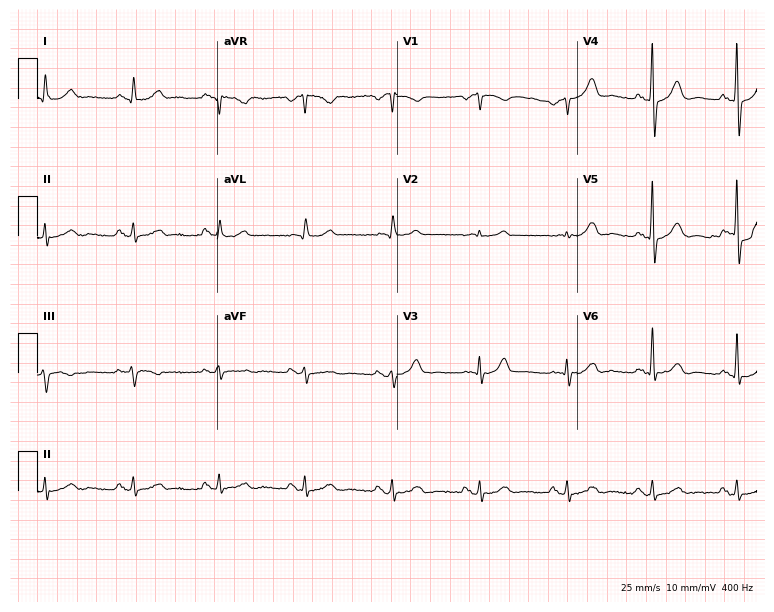
12-lead ECG from a male patient, 59 years old. Screened for six findings — first-degree AV block, right bundle branch block, left bundle branch block, sinus bradycardia, atrial fibrillation, sinus tachycardia — none is recorded.